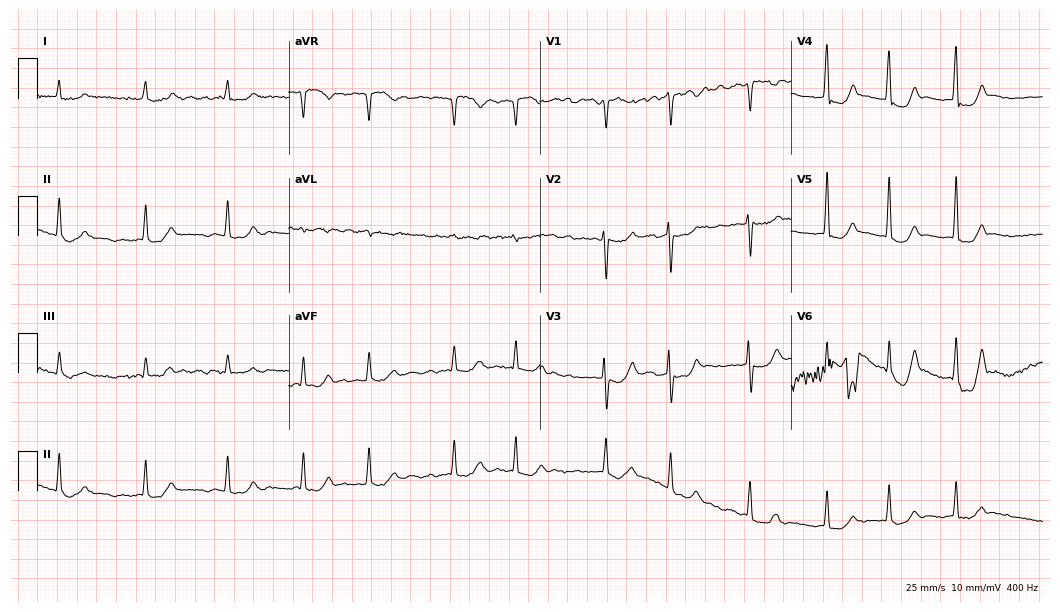
12-lead ECG from a 54-year-old female patient. Shows atrial fibrillation.